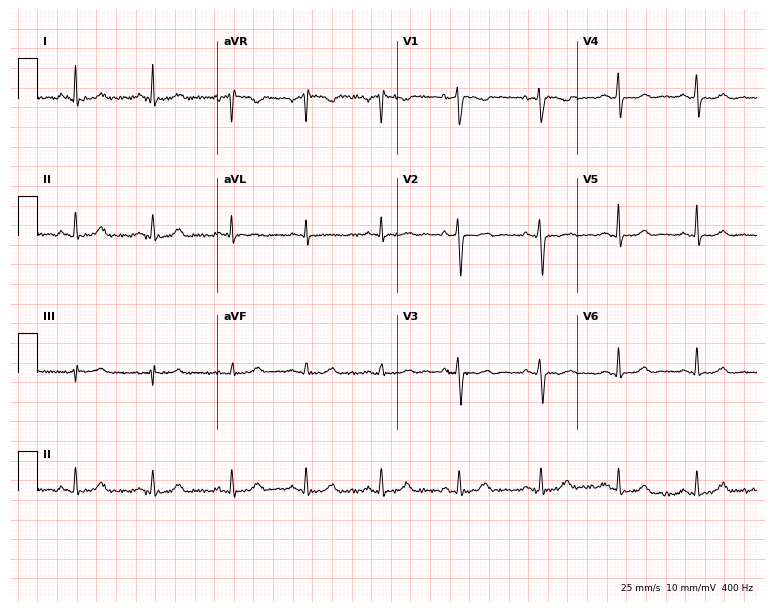
Electrocardiogram (7.3-second recording at 400 Hz), a woman, 37 years old. Overall reading on record: normal ECG.